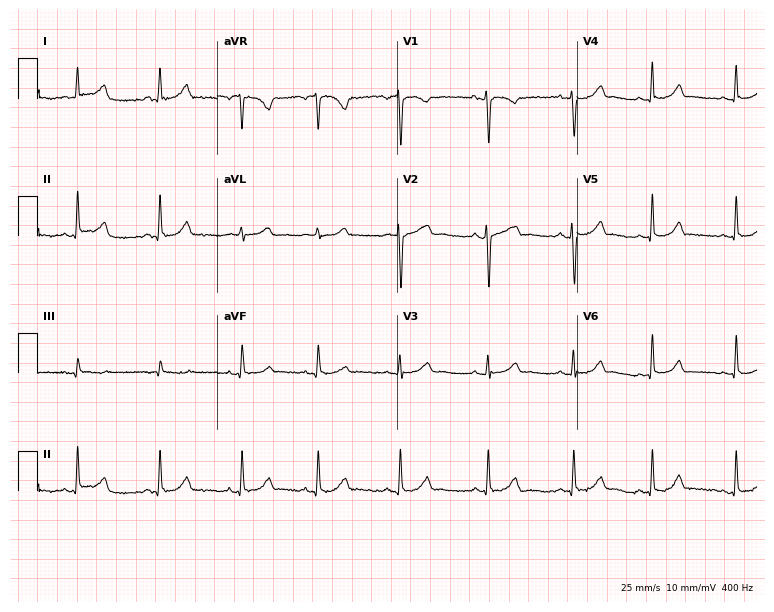
ECG — a female, 23 years old. Labelled as a normal ECG.